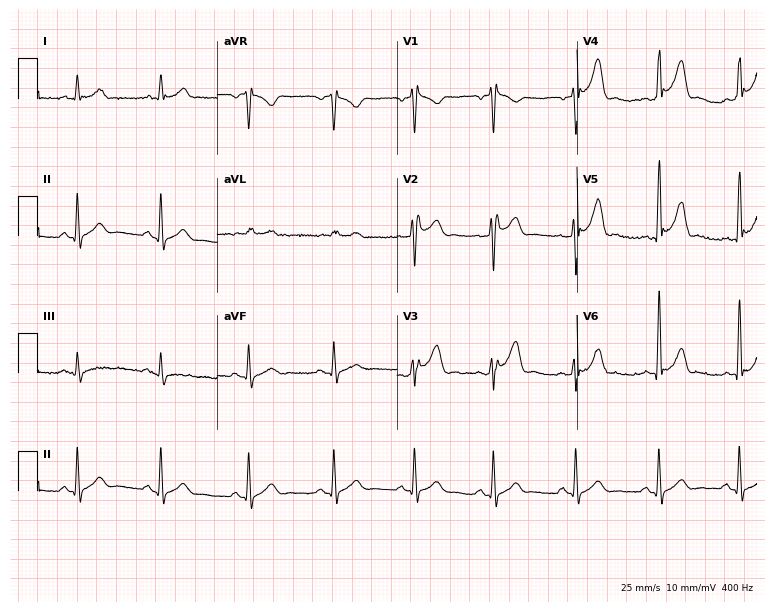
Electrocardiogram (7.3-second recording at 400 Hz), a male, 40 years old. Of the six screened findings (first-degree AV block, right bundle branch block (RBBB), left bundle branch block (LBBB), sinus bradycardia, atrial fibrillation (AF), sinus tachycardia), none is recorded. Other findings, if any, are not listed.